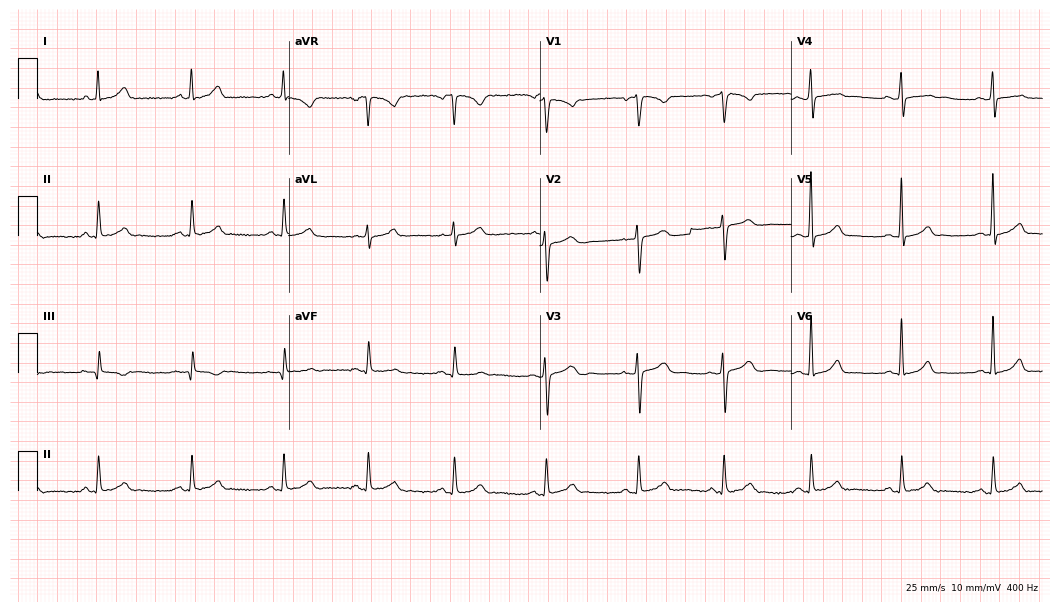
Standard 12-lead ECG recorded from a woman, 43 years old. Read as a normal ECG.